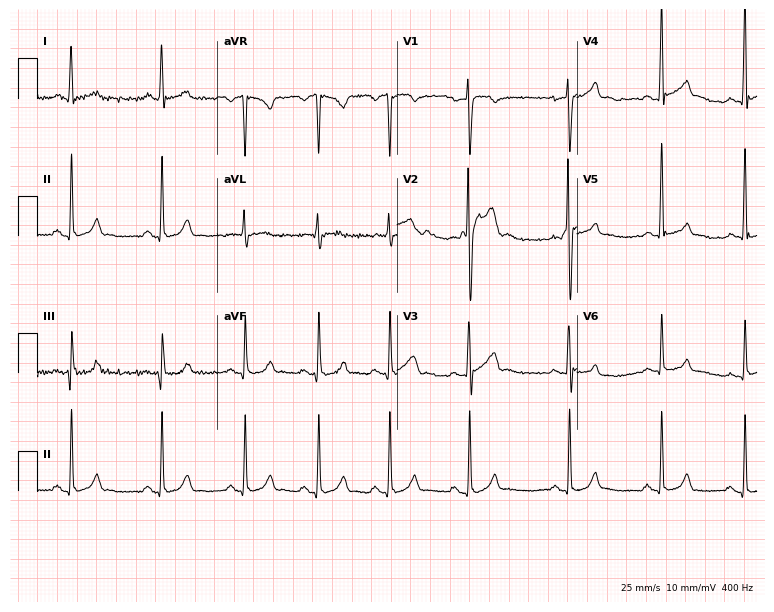
ECG — a male patient, 26 years old. Screened for six findings — first-degree AV block, right bundle branch block (RBBB), left bundle branch block (LBBB), sinus bradycardia, atrial fibrillation (AF), sinus tachycardia — none is recorded. Other findings, if any, are not listed.